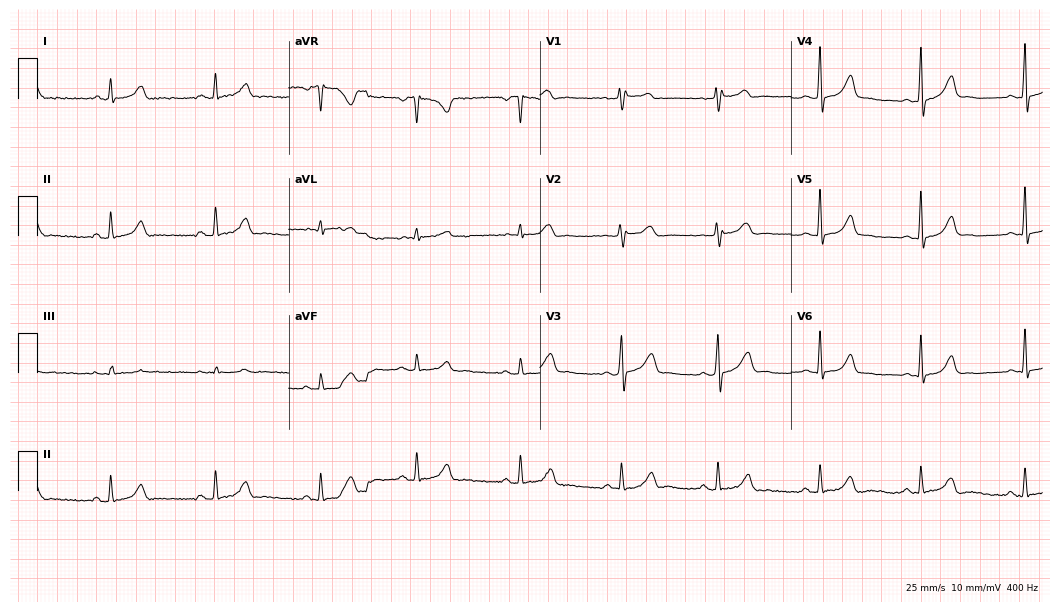
12-lead ECG from a 29-year-old female patient (10.2-second recording at 400 Hz). No first-degree AV block, right bundle branch block, left bundle branch block, sinus bradycardia, atrial fibrillation or sinus tachycardia recorded for this tracing. Findings outside these six are not listed.